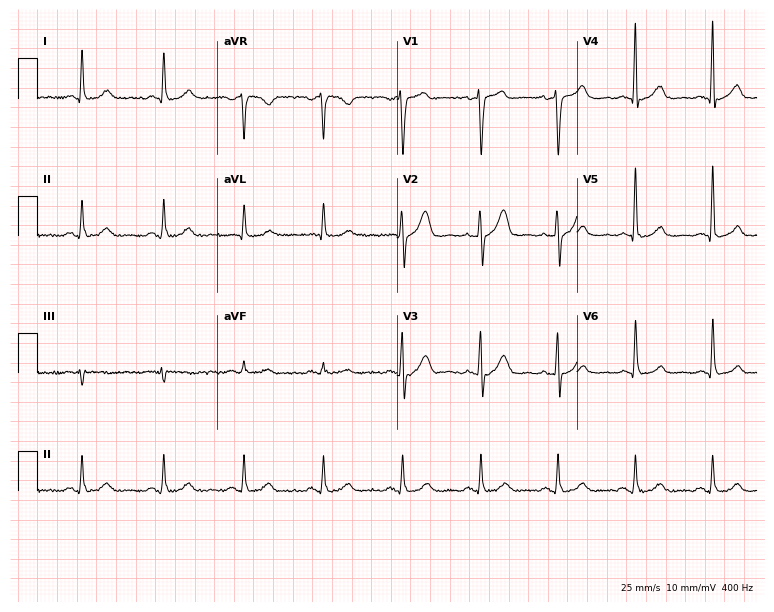
Standard 12-lead ECG recorded from a 66-year-old man. Read as a normal ECG.